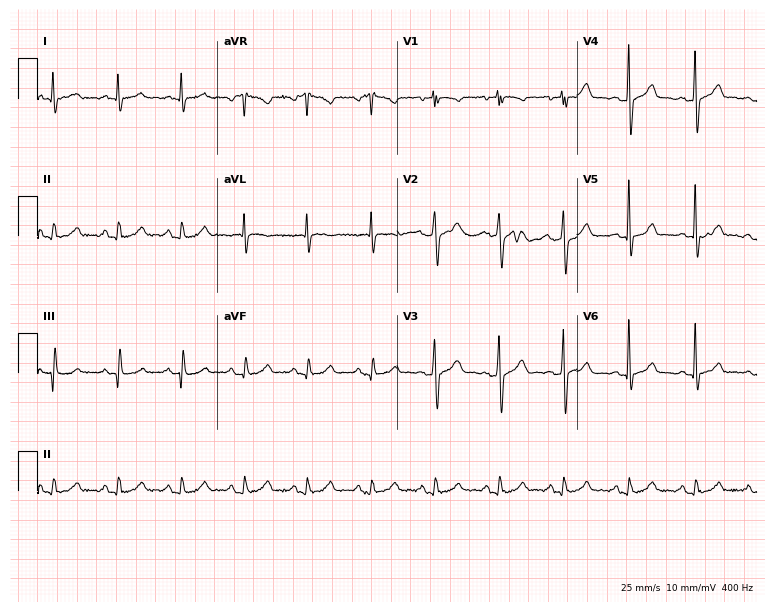
ECG (7.3-second recording at 400 Hz) — a 56-year-old man. Screened for six findings — first-degree AV block, right bundle branch block (RBBB), left bundle branch block (LBBB), sinus bradycardia, atrial fibrillation (AF), sinus tachycardia — none is recorded.